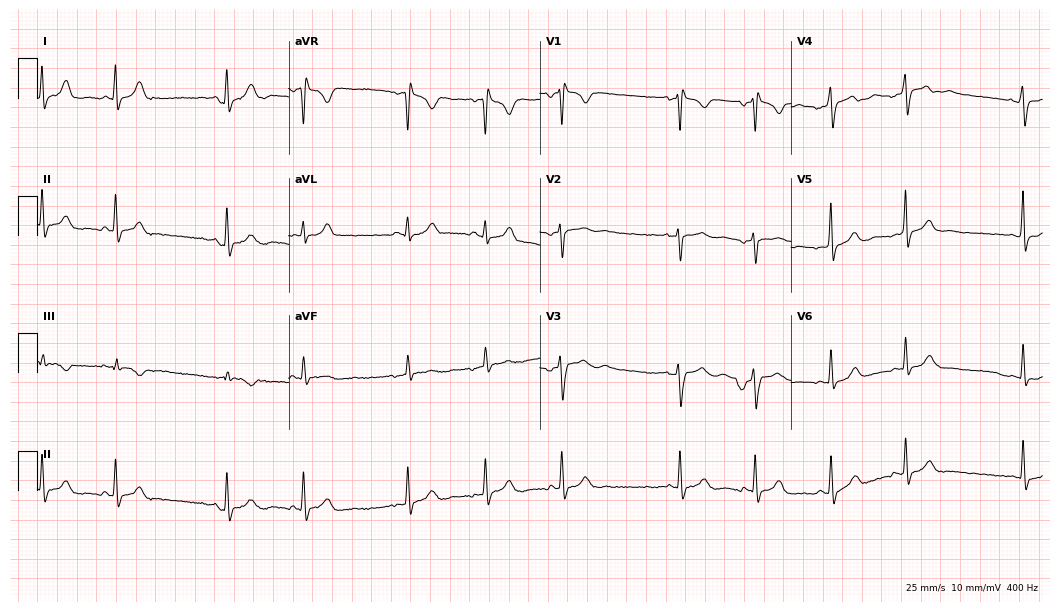
12-lead ECG from a female, 17 years old. Labelled as a normal ECG.